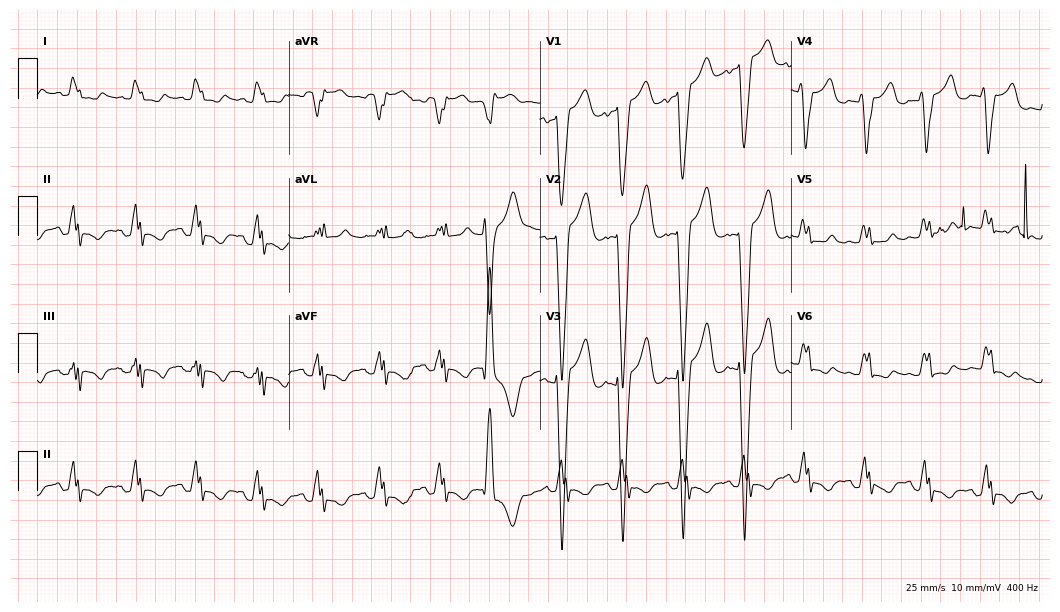
Electrocardiogram (10.2-second recording at 400 Hz), a 64-year-old female. Interpretation includes left bundle branch block.